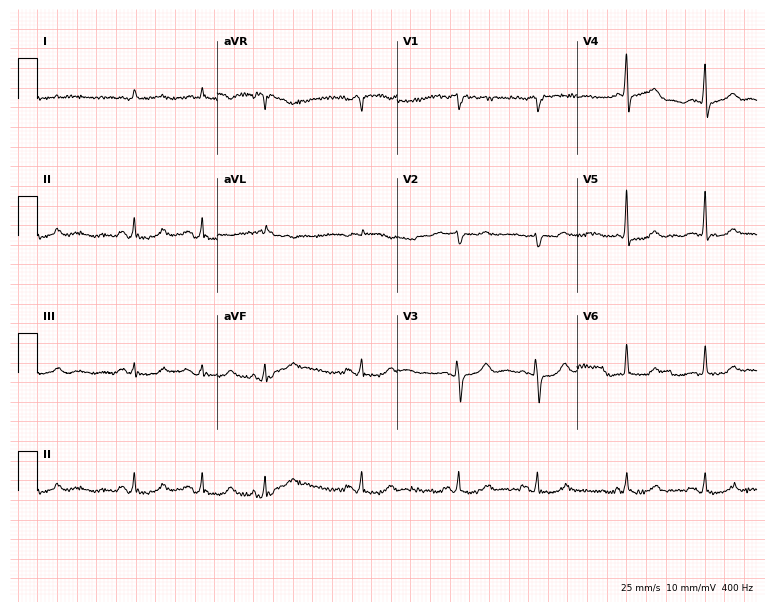
Resting 12-lead electrocardiogram. Patient: an 81-year-old male. None of these six findings is recorded: first-degree AV block, right bundle branch block, left bundle branch block, sinus bradycardia, atrial fibrillation, sinus tachycardia.